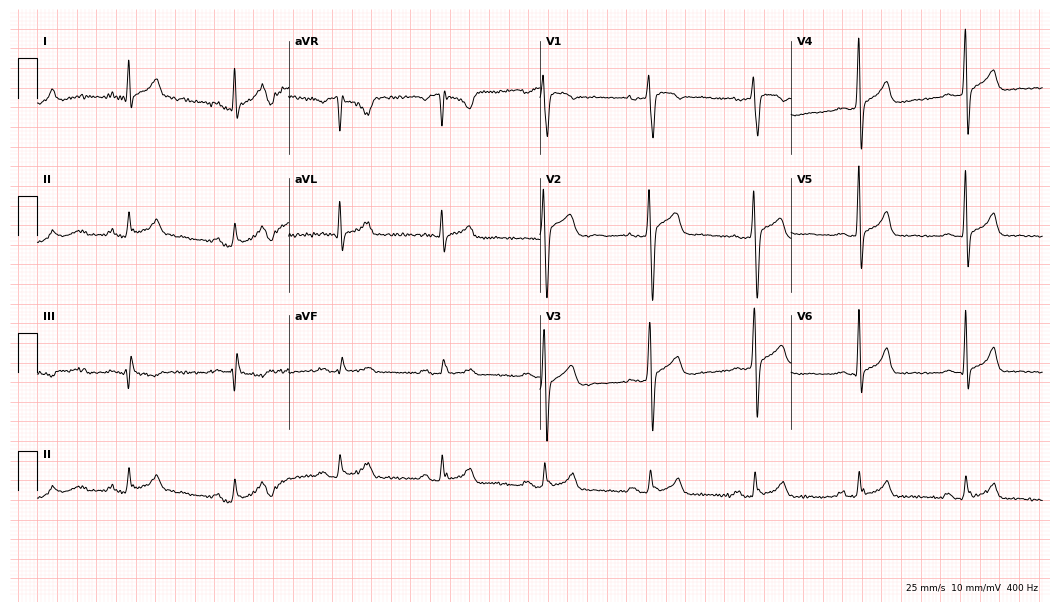
Electrocardiogram (10.2-second recording at 400 Hz), a 37-year-old male patient. Of the six screened findings (first-degree AV block, right bundle branch block, left bundle branch block, sinus bradycardia, atrial fibrillation, sinus tachycardia), none is recorded. Only these six findings were labelled.